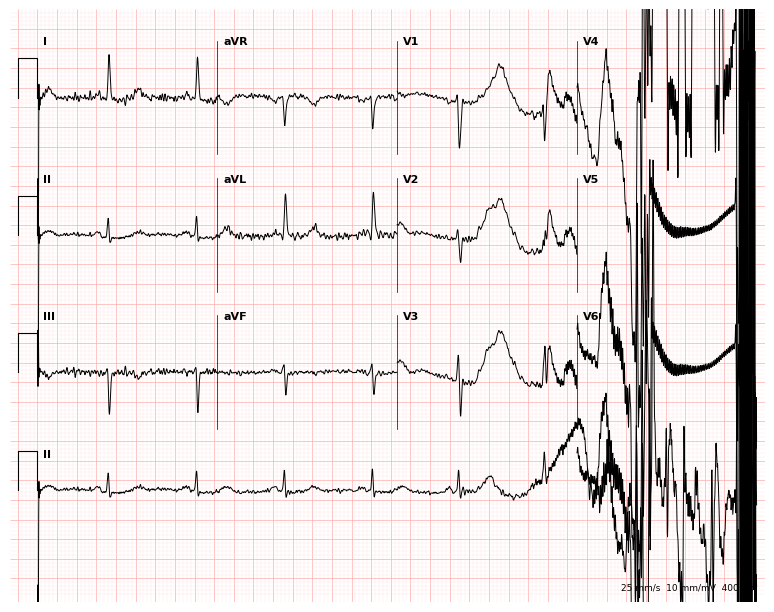
Resting 12-lead electrocardiogram. Patient: a female, 62 years old. None of these six findings is recorded: first-degree AV block, right bundle branch block, left bundle branch block, sinus bradycardia, atrial fibrillation, sinus tachycardia. Only these six findings were labelled.